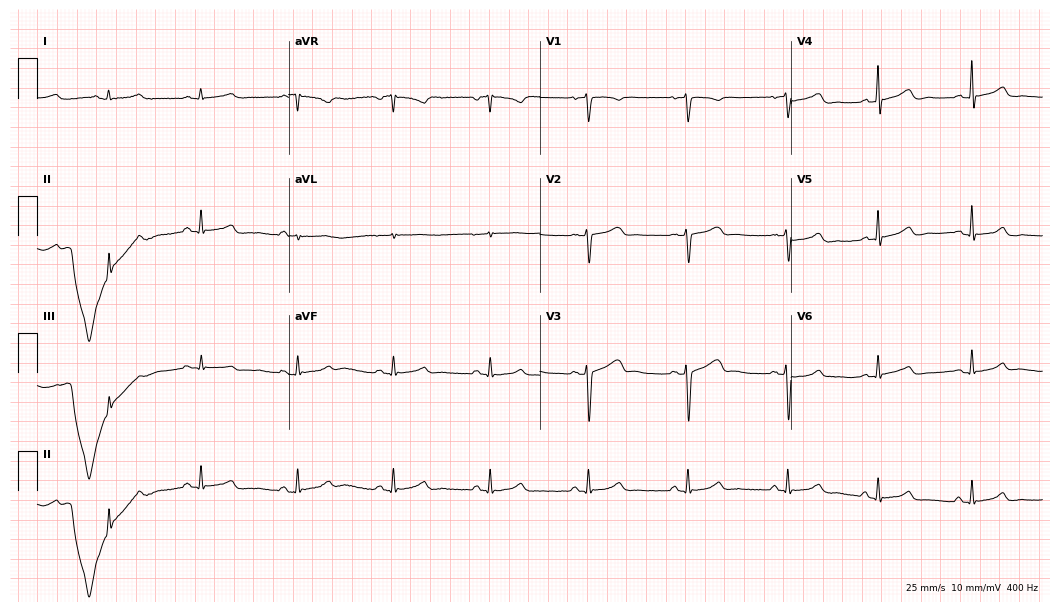
Resting 12-lead electrocardiogram. Patient: a 34-year-old female. None of these six findings is recorded: first-degree AV block, right bundle branch block, left bundle branch block, sinus bradycardia, atrial fibrillation, sinus tachycardia. Other findings, if any, are not listed.